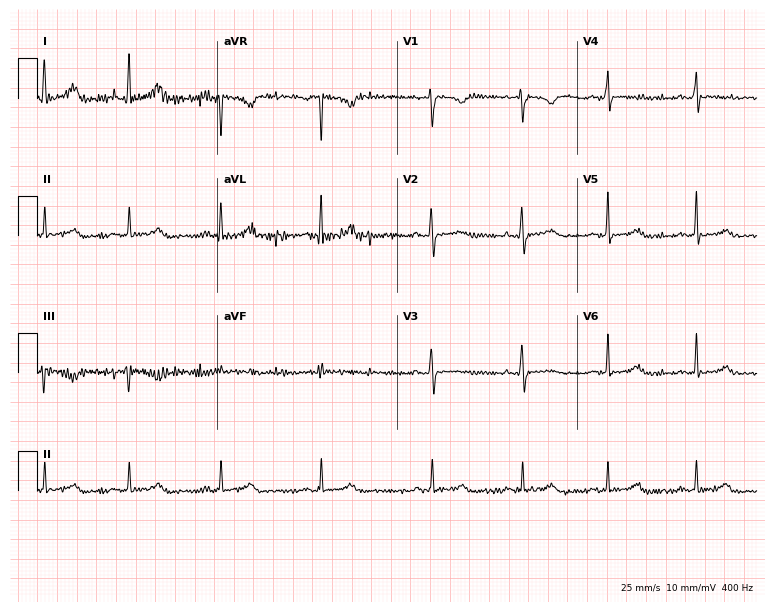
12-lead ECG from a 36-year-old female patient. Screened for six findings — first-degree AV block, right bundle branch block, left bundle branch block, sinus bradycardia, atrial fibrillation, sinus tachycardia — none is recorded.